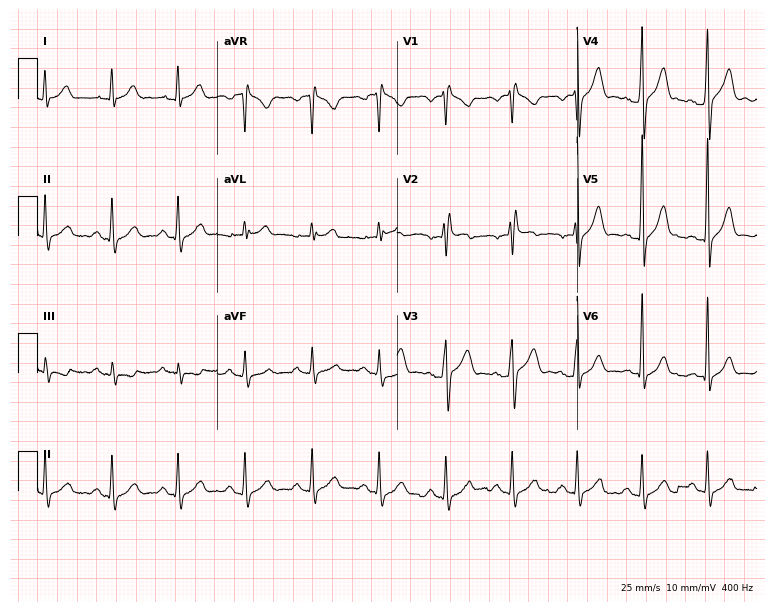
12-lead ECG (7.3-second recording at 400 Hz) from a man, 44 years old. Screened for six findings — first-degree AV block, right bundle branch block, left bundle branch block, sinus bradycardia, atrial fibrillation, sinus tachycardia — none is recorded.